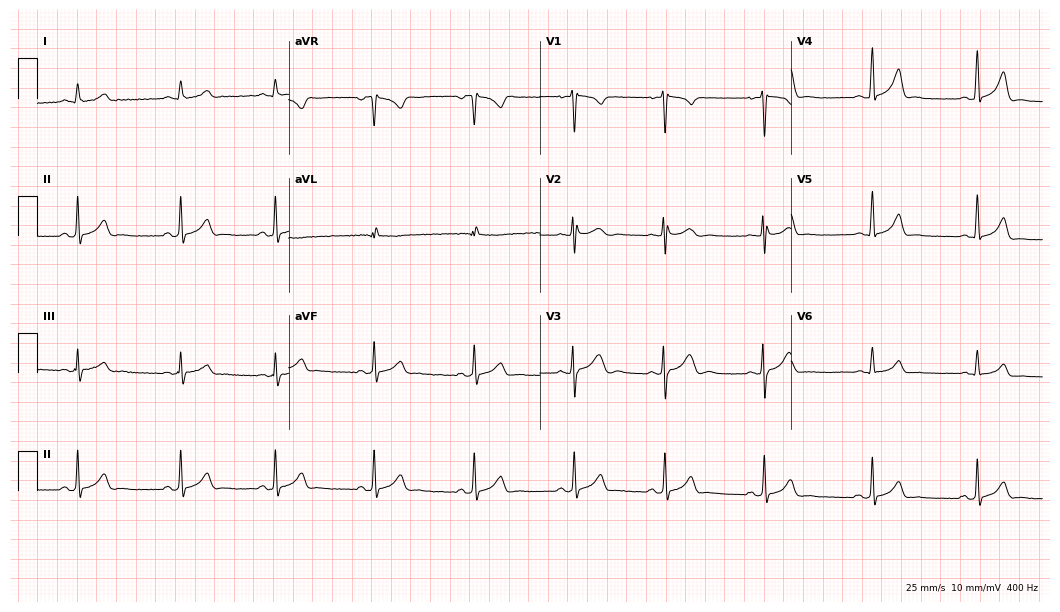
12-lead ECG from a 22-year-old male patient. Labelled as a normal ECG.